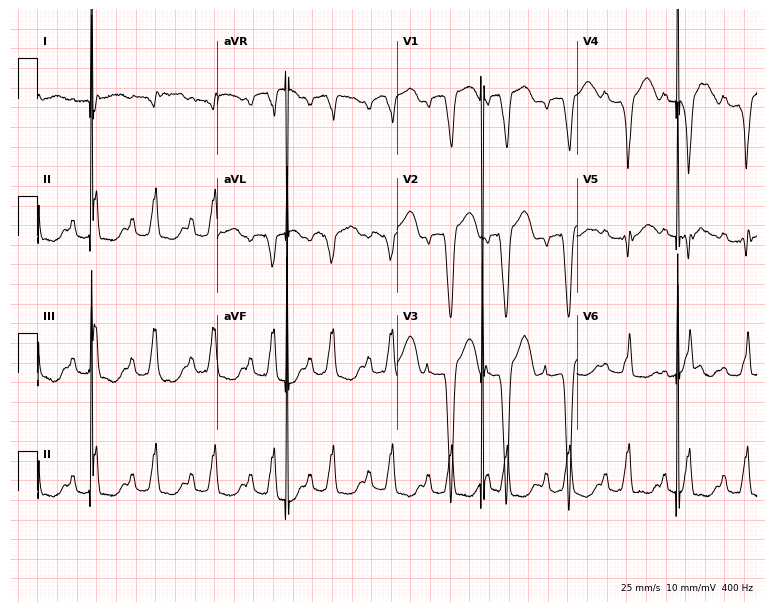
Resting 12-lead electrocardiogram (7.3-second recording at 400 Hz). Patient: a woman, 86 years old. None of these six findings is recorded: first-degree AV block, right bundle branch block, left bundle branch block, sinus bradycardia, atrial fibrillation, sinus tachycardia.